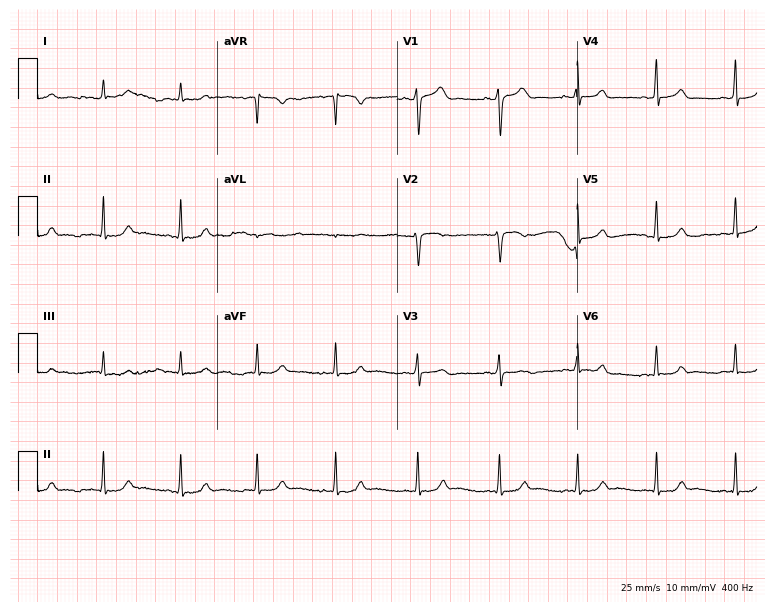
Electrocardiogram (7.3-second recording at 400 Hz), a woman, 28 years old. Of the six screened findings (first-degree AV block, right bundle branch block, left bundle branch block, sinus bradycardia, atrial fibrillation, sinus tachycardia), none is recorded.